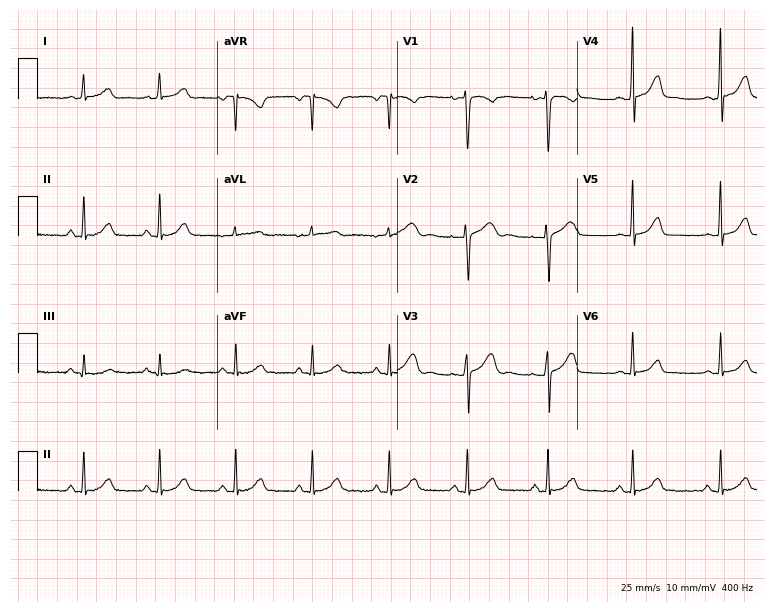
Resting 12-lead electrocardiogram. Patient: a woman, 35 years old. Read as a normal ECG.